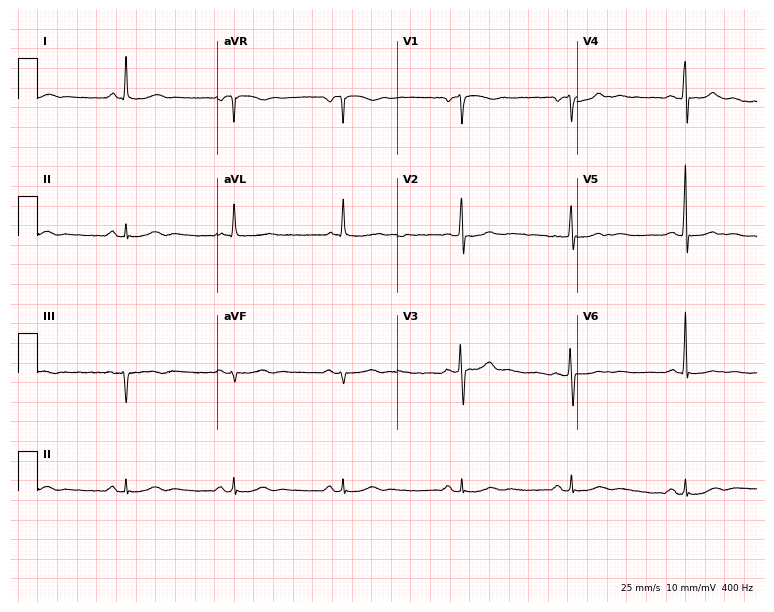
12-lead ECG (7.3-second recording at 400 Hz) from a 78-year-old male. Labelled as a normal ECG.